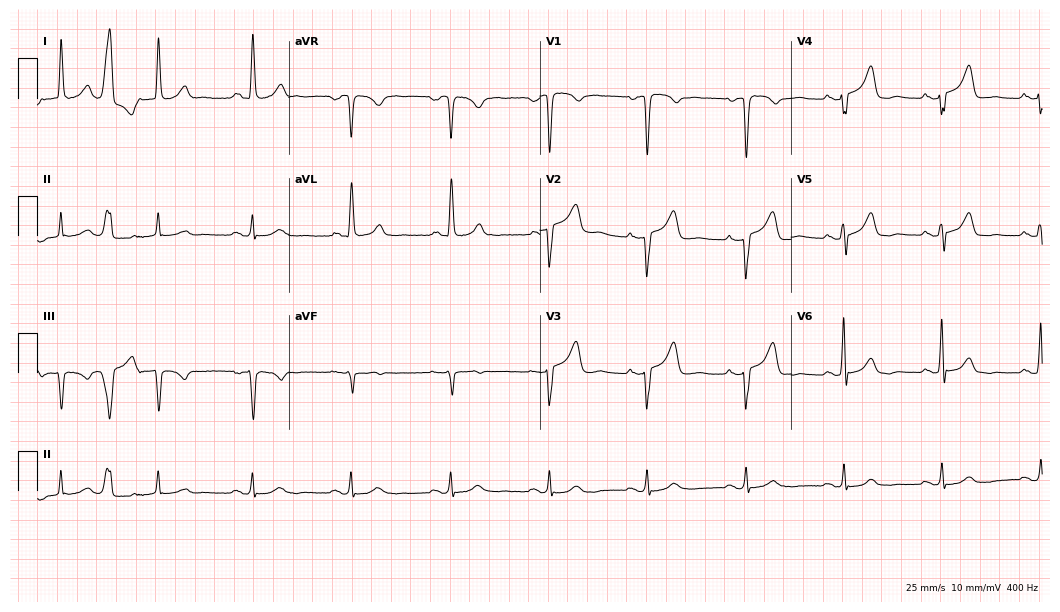
ECG (10.2-second recording at 400 Hz) — a 70-year-old woman. Screened for six findings — first-degree AV block, right bundle branch block, left bundle branch block, sinus bradycardia, atrial fibrillation, sinus tachycardia — none is recorded.